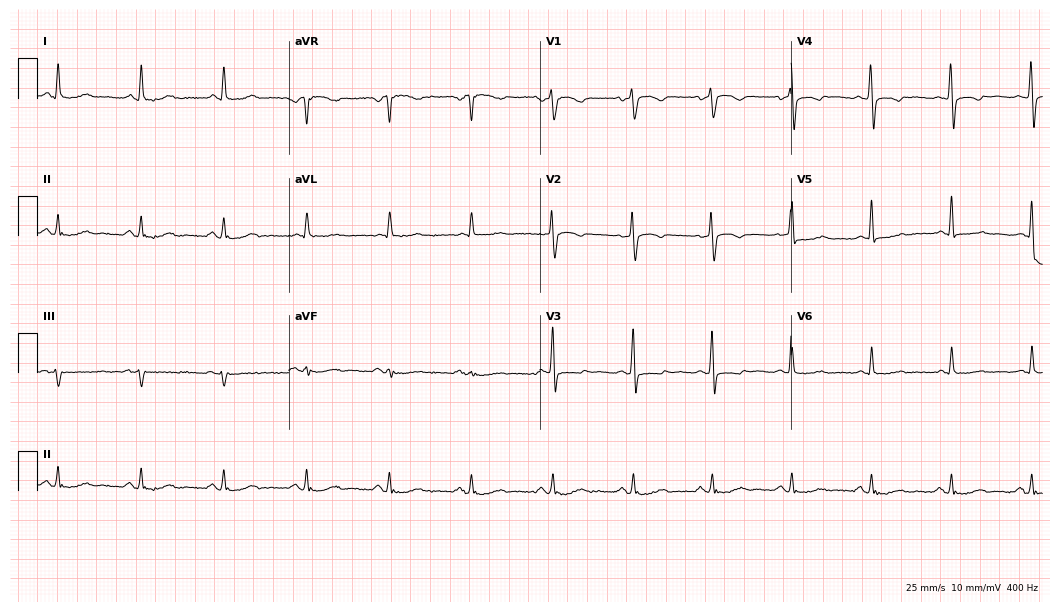
ECG (10.2-second recording at 400 Hz) — a 71-year-old female patient. Screened for six findings — first-degree AV block, right bundle branch block, left bundle branch block, sinus bradycardia, atrial fibrillation, sinus tachycardia — none is recorded. Only these six findings were labelled.